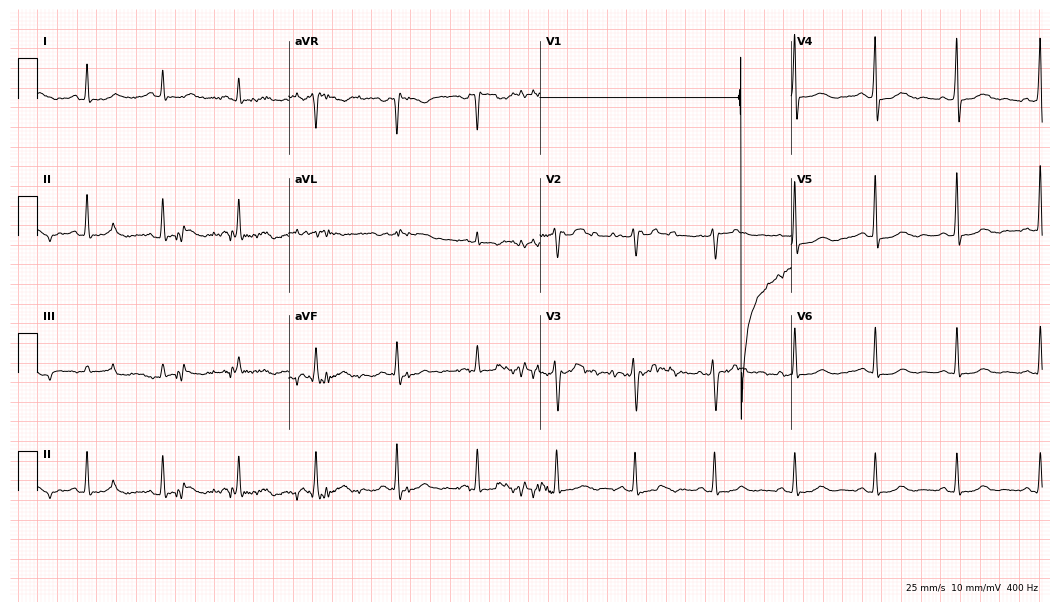
Electrocardiogram, a woman, 64 years old. Of the six screened findings (first-degree AV block, right bundle branch block, left bundle branch block, sinus bradycardia, atrial fibrillation, sinus tachycardia), none is recorded.